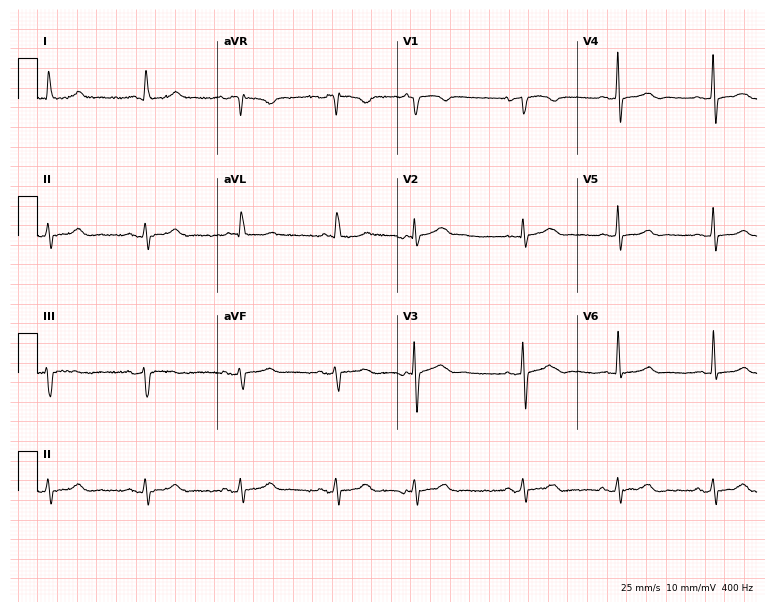
Electrocardiogram, a female patient, 78 years old. Overall reading on record: normal ECG.